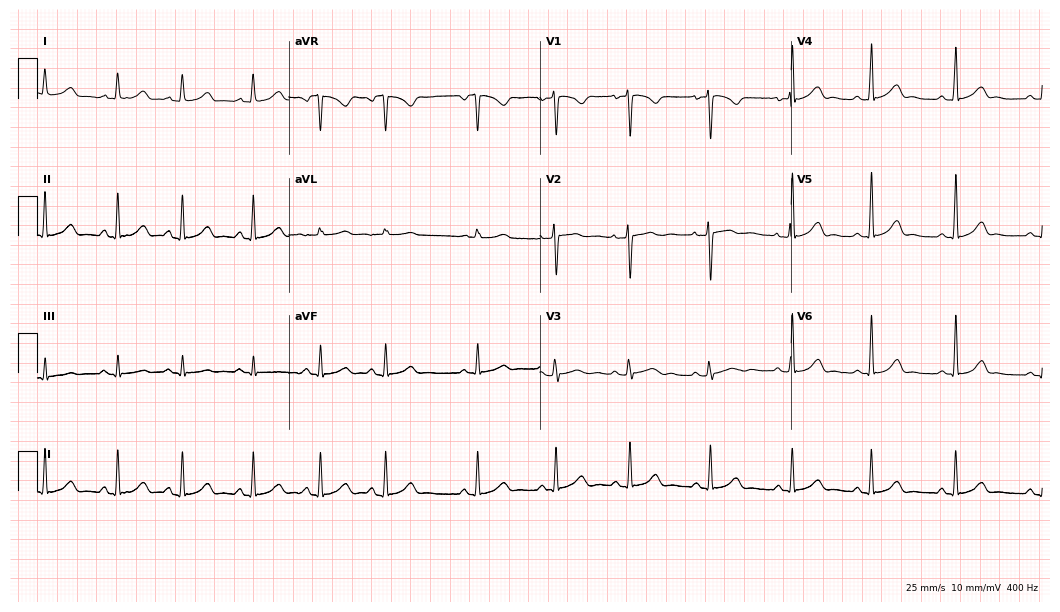
ECG (10.2-second recording at 400 Hz) — a woman, 24 years old. Labelled as a normal ECG.